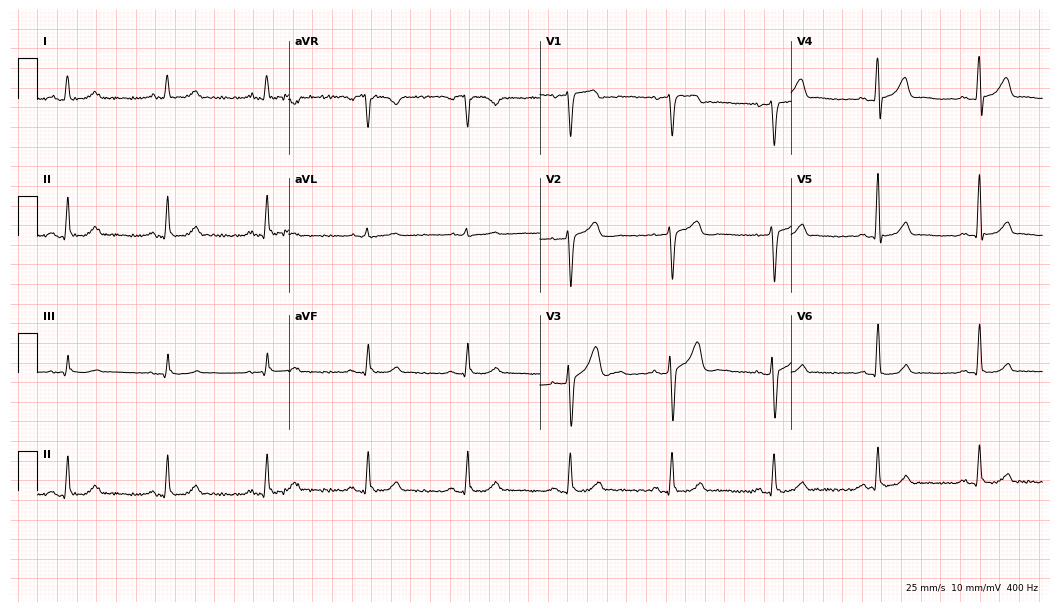
Electrocardiogram (10.2-second recording at 400 Hz), a female patient, 47 years old. Overall reading on record: normal ECG.